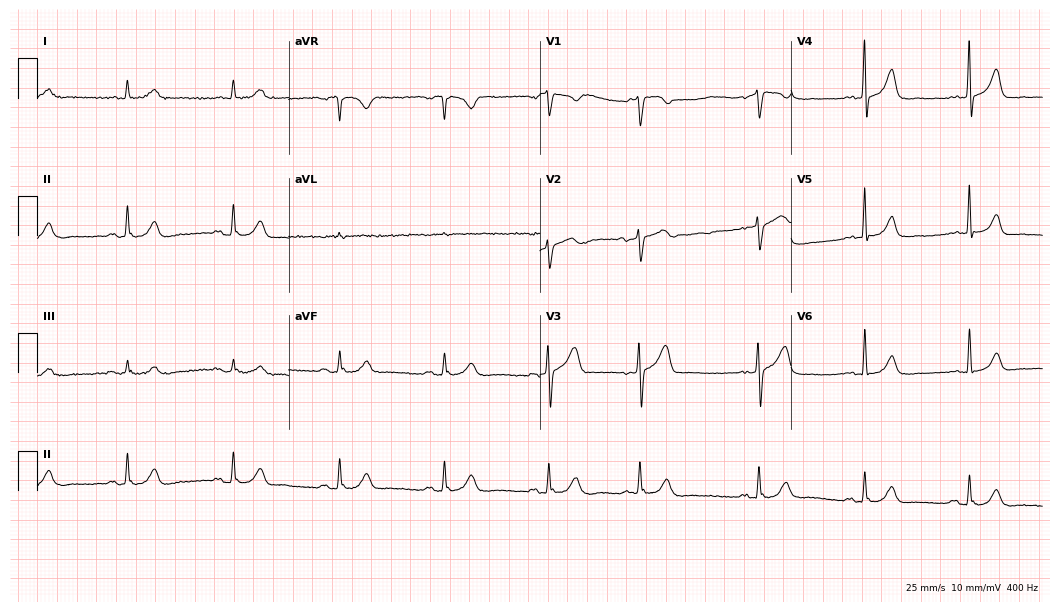
Electrocardiogram, a man, 78 years old. Overall reading on record: normal ECG.